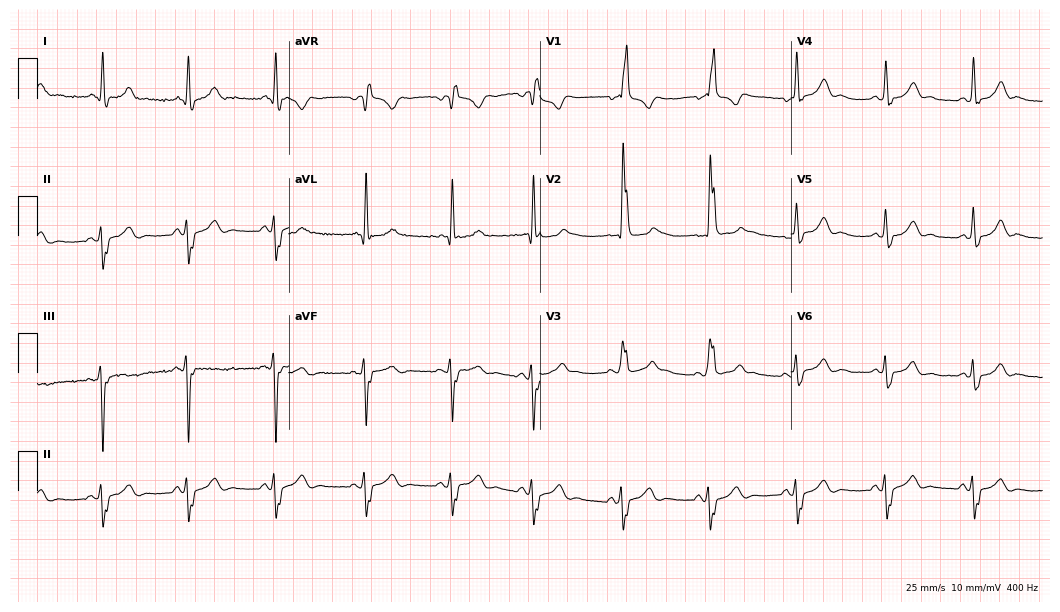
12-lead ECG (10.2-second recording at 400 Hz) from a 67-year-old male. Screened for six findings — first-degree AV block, right bundle branch block, left bundle branch block, sinus bradycardia, atrial fibrillation, sinus tachycardia — none is recorded.